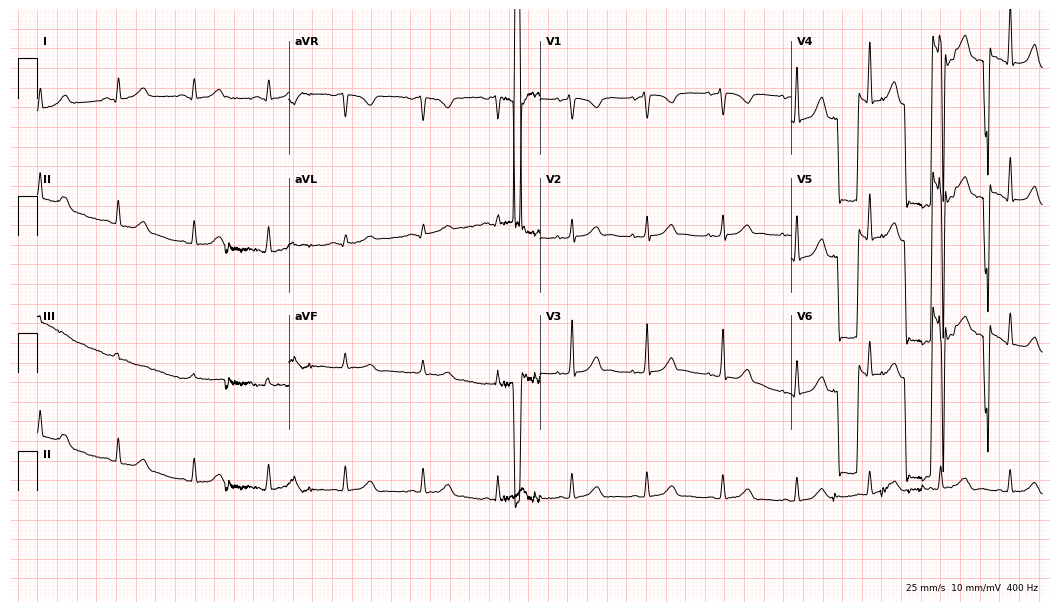
12-lead ECG from a female patient, 38 years old. Screened for six findings — first-degree AV block, right bundle branch block (RBBB), left bundle branch block (LBBB), sinus bradycardia, atrial fibrillation (AF), sinus tachycardia — none is recorded.